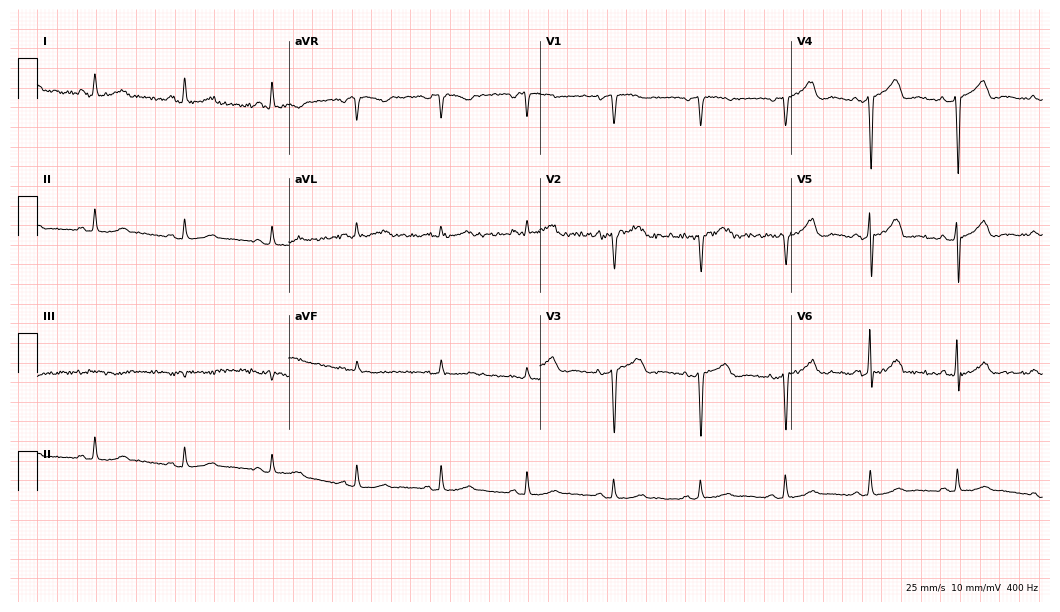
ECG (10.2-second recording at 400 Hz) — a 70-year-old female patient. Screened for six findings — first-degree AV block, right bundle branch block, left bundle branch block, sinus bradycardia, atrial fibrillation, sinus tachycardia — none is recorded. Findings outside these six are not listed.